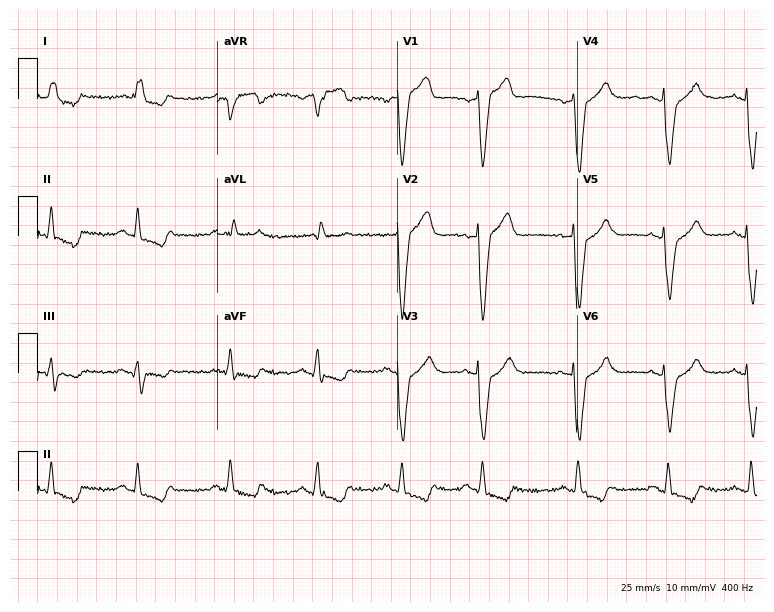
Electrocardiogram, a 72-year-old male. Interpretation includes left bundle branch block (LBBB).